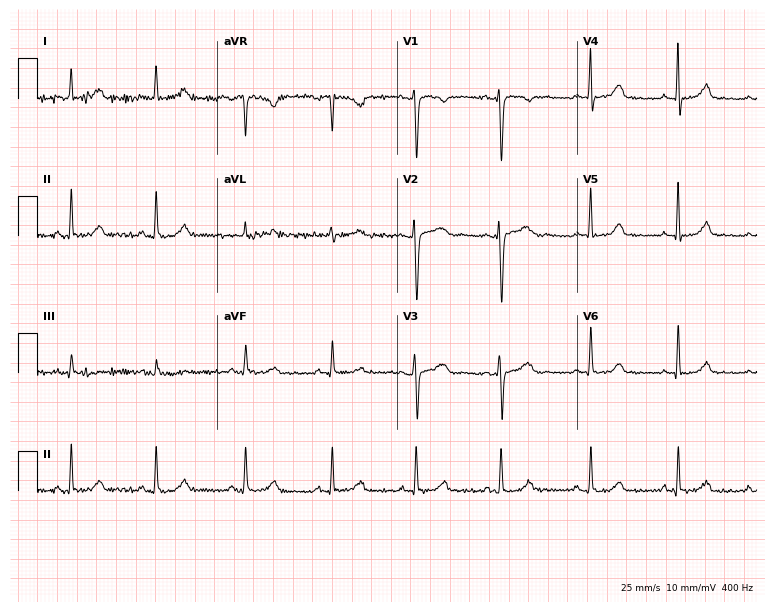
12-lead ECG from a female patient, 39 years old. Labelled as a normal ECG.